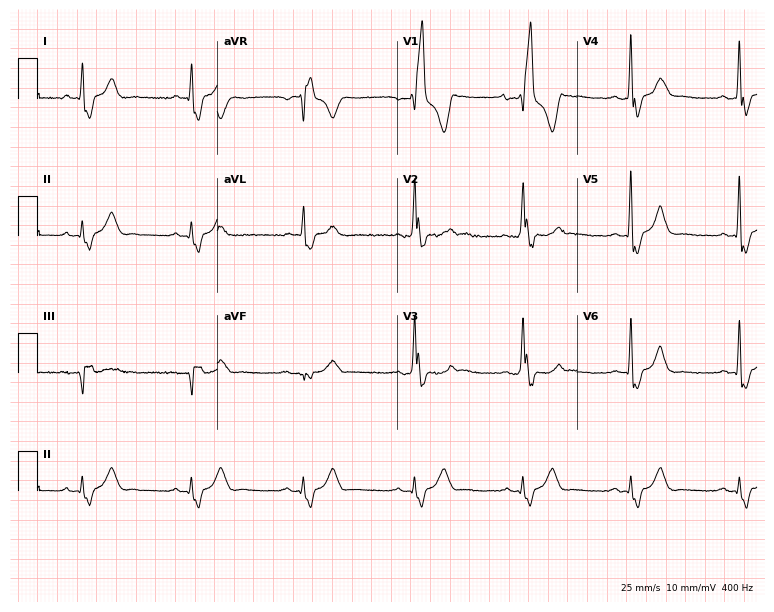
Resting 12-lead electrocardiogram (7.3-second recording at 400 Hz). Patient: a male, 64 years old. The tracing shows right bundle branch block (RBBB).